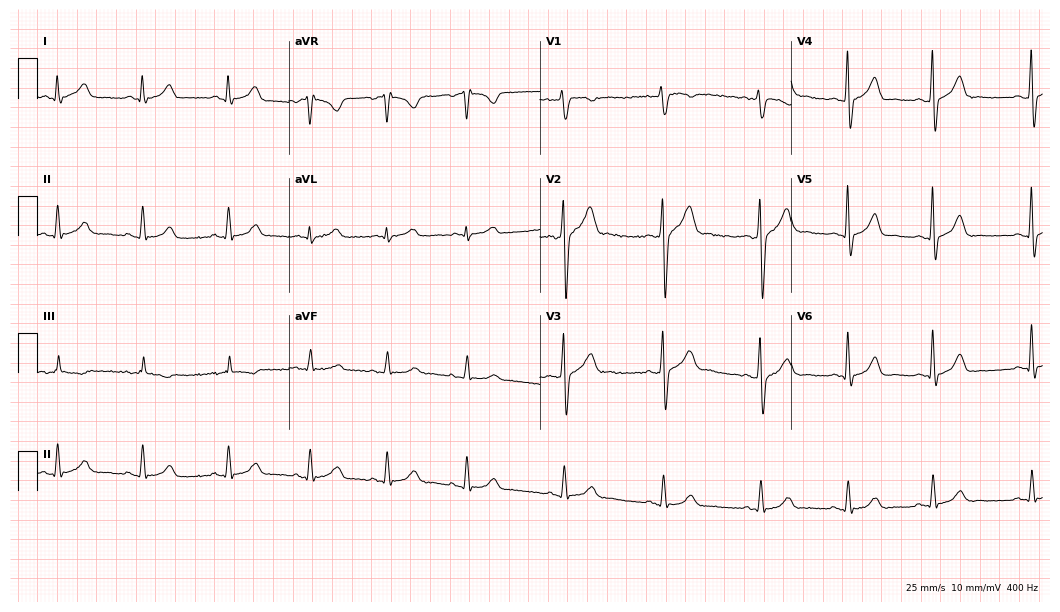
Electrocardiogram (10.2-second recording at 400 Hz), a 29-year-old male. Of the six screened findings (first-degree AV block, right bundle branch block (RBBB), left bundle branch block (LBBB), sinus bradycardia, atrial fibrillation (AF), sinus tachycardia), none is recorded.